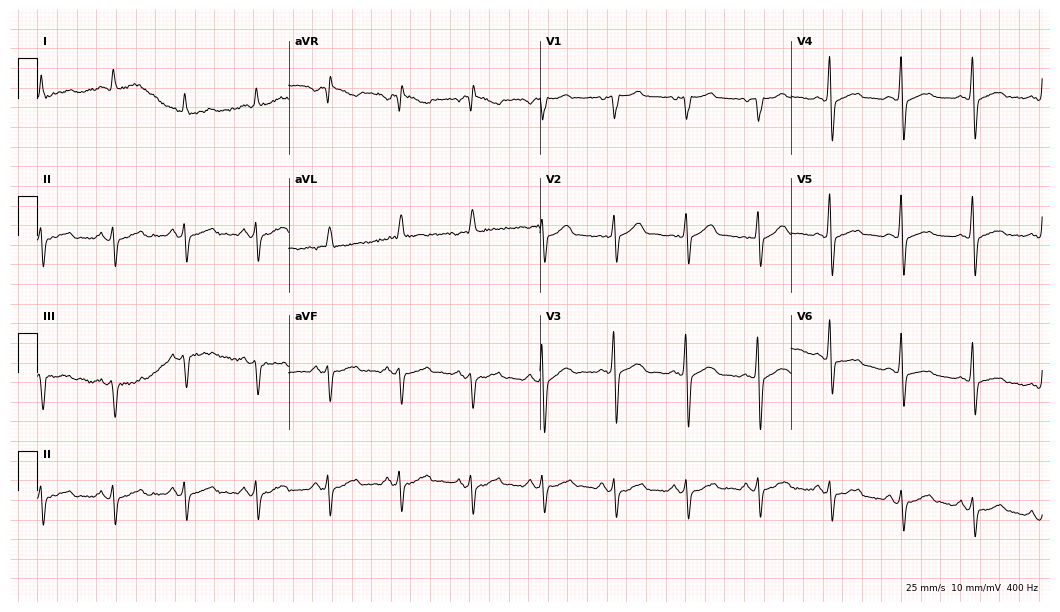
Electrocardiogram, a 66-year-old male. Of the six screened findings (first-degree AV block, right bundle branch block, left bundle branch block, sinus bradycardia, atrial fibrillation, sinus tachycardia), none is recorded. Only these six findings were labelled.